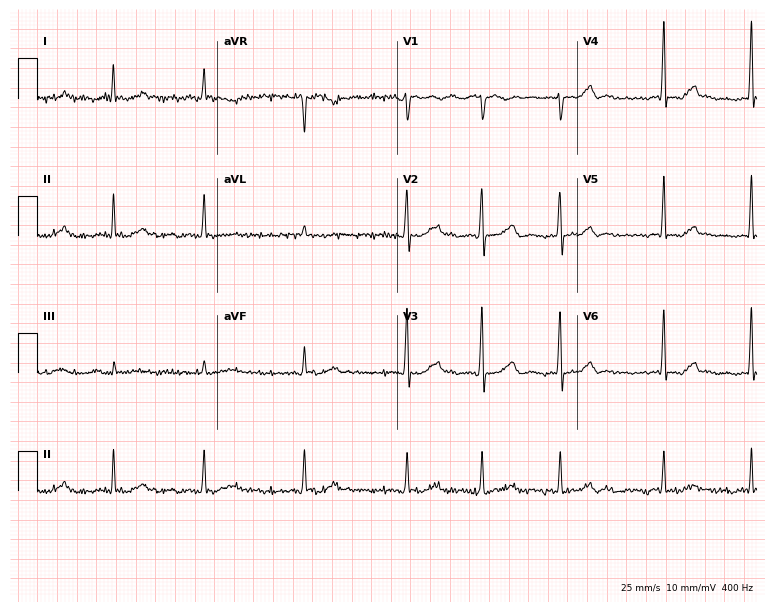
Standard 12-lead ECG recorded from a male patient, 61 years old. Read as a normal ECG.